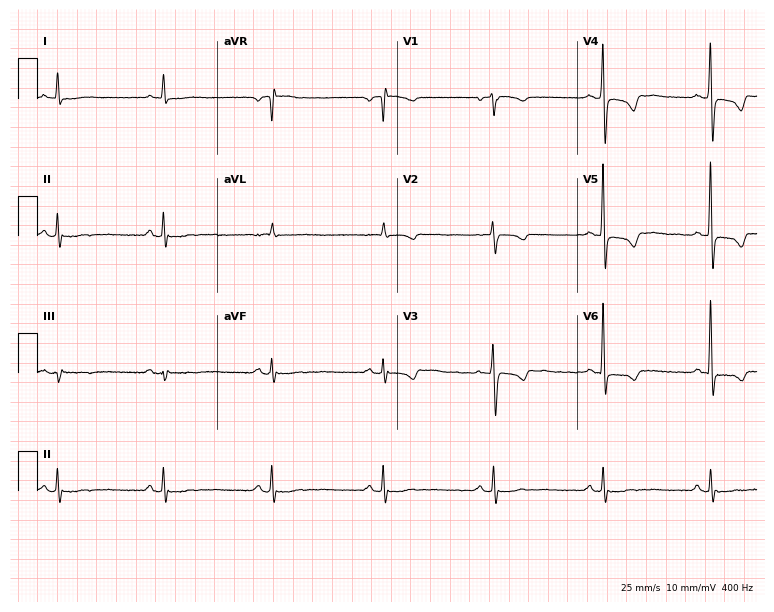
Standard 12-lead ECG recorded from a woman, 68 years old. None of these six findings is recorded: first-degree AV block, right bundle branch block, left bundle branch block, sinus bradycardia, atrial fibrillation, sinus tachycardia.